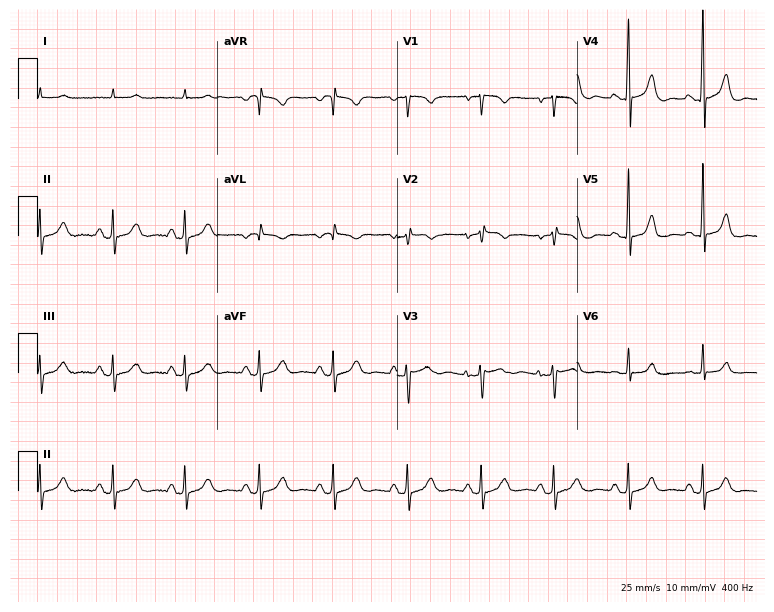
Resting 12-lead electrocardiogram. Patient: a male, 80 years old. None of these six findings is recorded: first-degree AV block, right bundle branch block (RBBB), left bundle branch block (LBBB), sinus bradycardia, atrial fibrillation (AF), sinus tachycardia. Only these six findings were labelled.